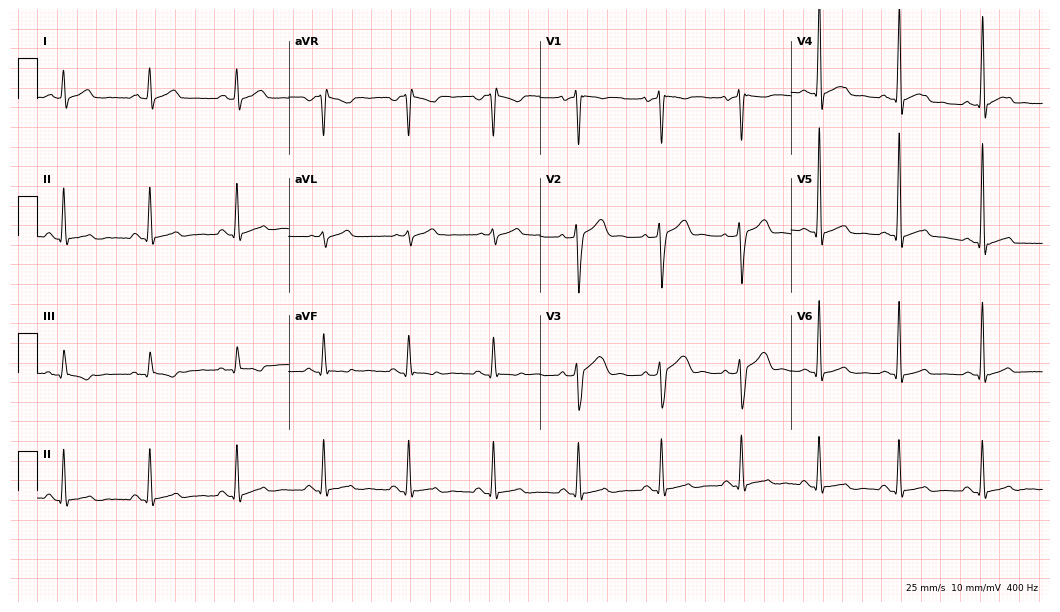
12-lead ECG from a 32-year-old male. No first-degree AV block, right bundle branch block (RBBB), left bundle branch block (LBBB), sinus bradycardia, atrial fibrillation (AF) or sinus tachycardia recorded for this tracing.